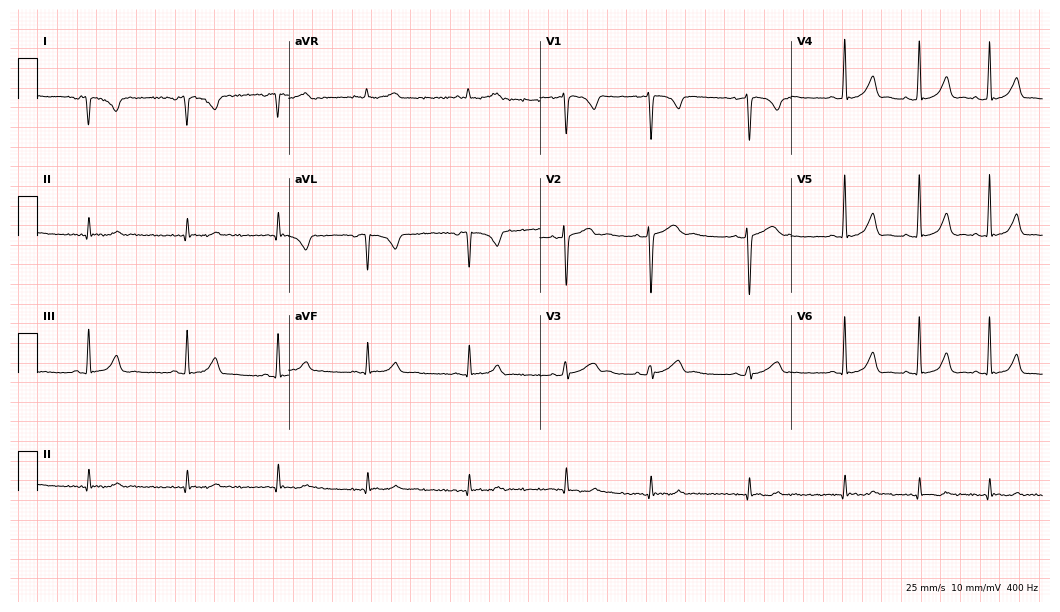
Resting 12-lead electrocardiogram (10.2-second recording at 400 Hz). Patient: a female, 21 years old. None of these six findings is recorded: first-degree AV block, right bundle branch block, left bundle branch block, sinus bradycardia, atrial fibrillation, sinus tachycardia. Only these six findings were labelled.